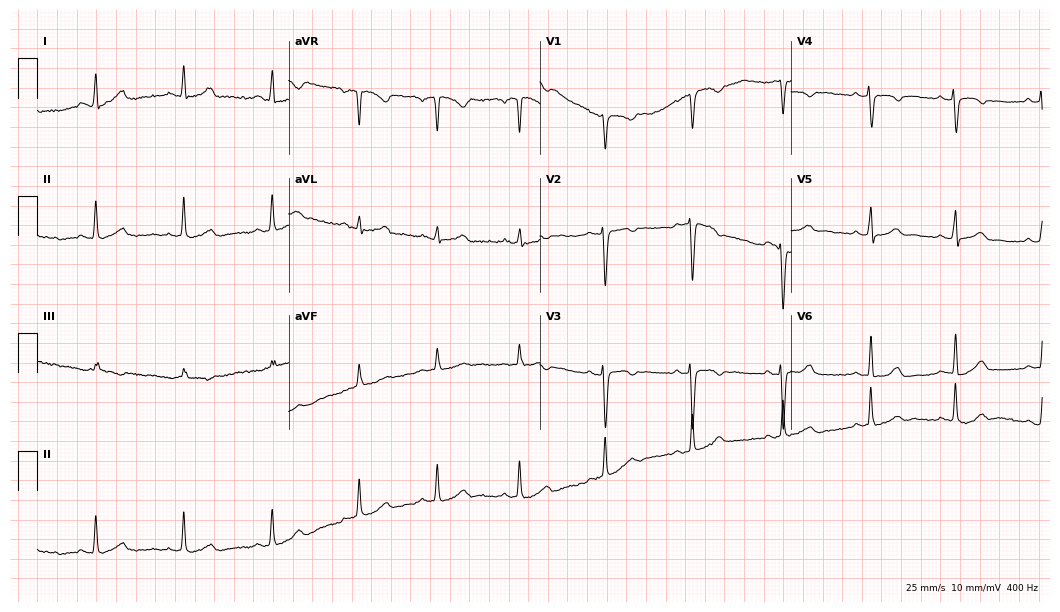
ECG — a 44-year-old woman. Screened for six findings — first-degree AV block, right bundle branch block (RBBB), left bundle branch block (LBBB), sinus bradycardia, atrial fibrillation (AF), sinus tachycardia — none is recorded. Findings outside these six are not listed.